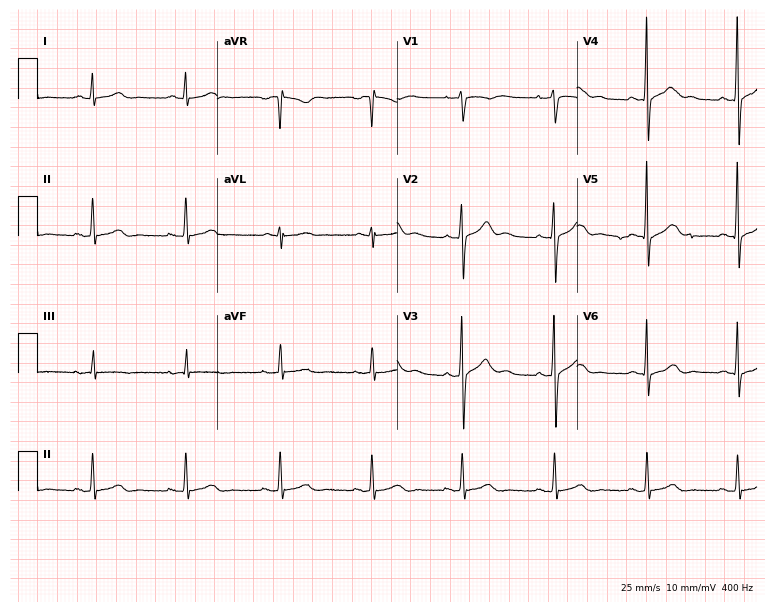
12-lead ECG from a 33-year-old male. Labelled as a normal ECG.